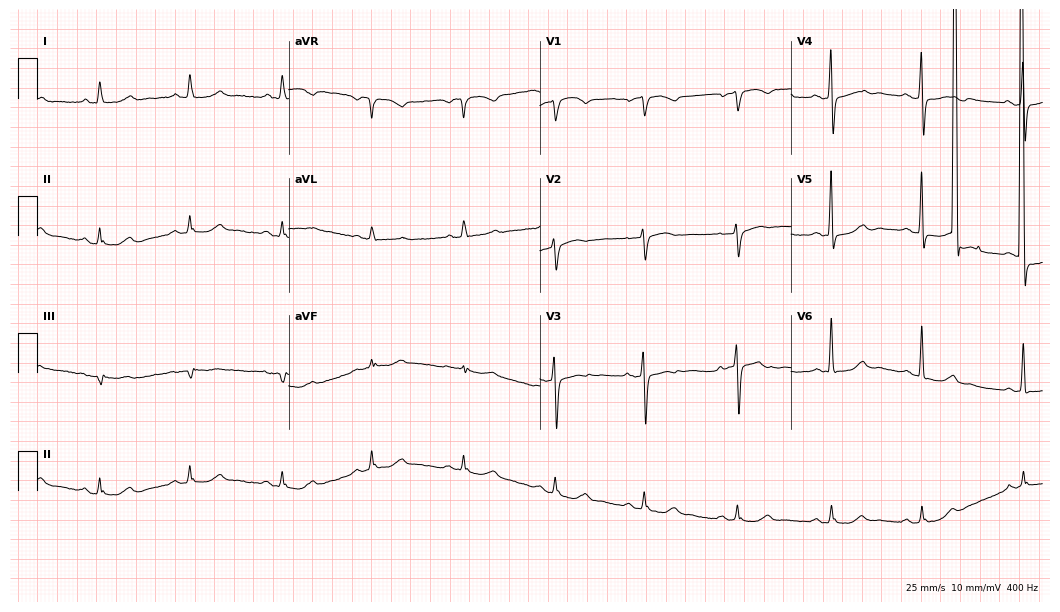
Resting 12-lead electrocardiogram. Patient: a 70-year-old woman. None of these six findings is recorded: first-degree AV block, right bundle branch block (RBBB), left bundle branch block (LBBB), sinus bradycardia, atrial fibrillation (AF), sinus tachycardia.